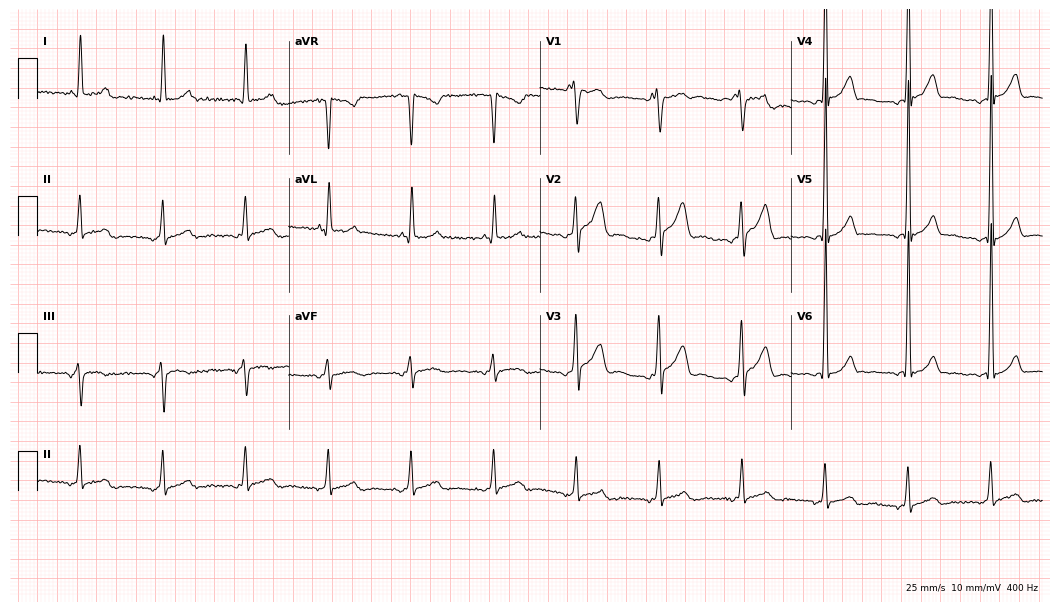
12-lead ECG from a 68-year-old male patient. No first-degree AV block, right bundle branch block, left bundle branch block, sinus bradycardia, atrial fibrillation or sinus tachycardia recorded for this tracing. Findings outside these six are not listed.